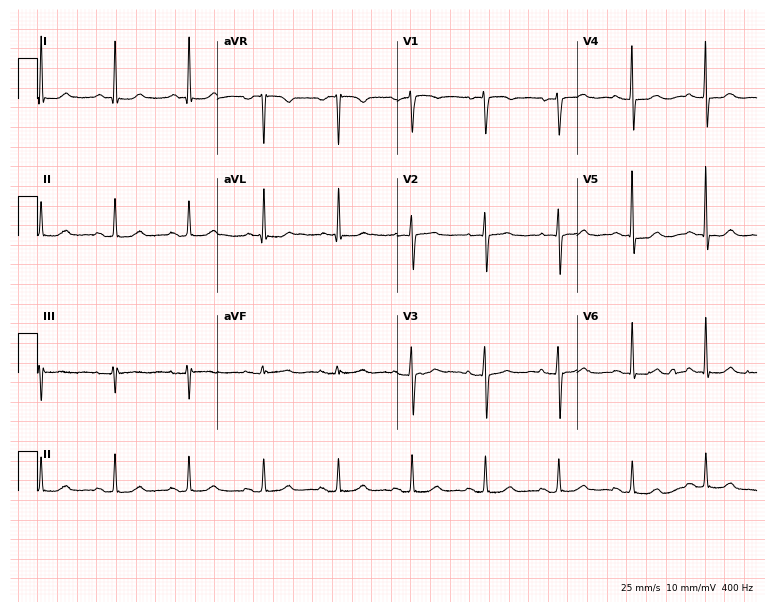
12-lead ECG from a female, 73 years old. No first-degree AV block, right bundle branch block (RBBB), left bundle branch block (LBBB), sinus bradycardia, atrial fibrillation (AF) or sinus tachycardia recorded for this tracing.